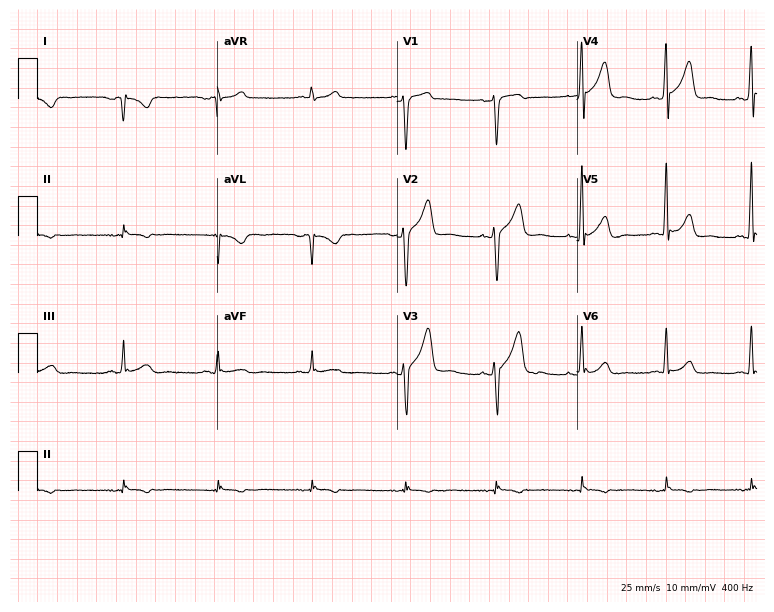
ECG (7.3-second recording at 400 Hz) — a male, 30 years old. Screened for six findings — first-degree AV block, right bundle branch block, left bundle branch block, sinus bradycardia, atrial fibrillation, sinus tachycardia — none is recorded. Findings outside these six are not listed.